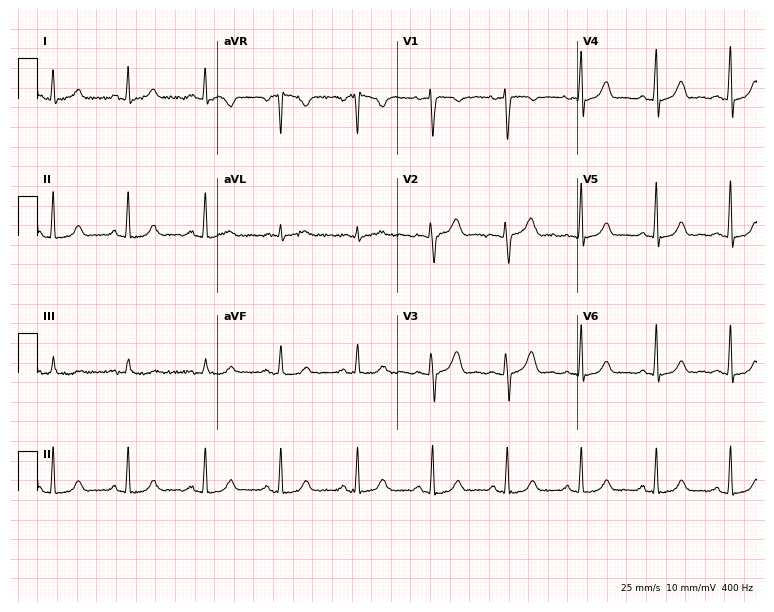
Resting 12-lead electrocardiogram (7.3-second recording at 400 Hz). Patient: a female, 45 years old. Read as a normal ECG.